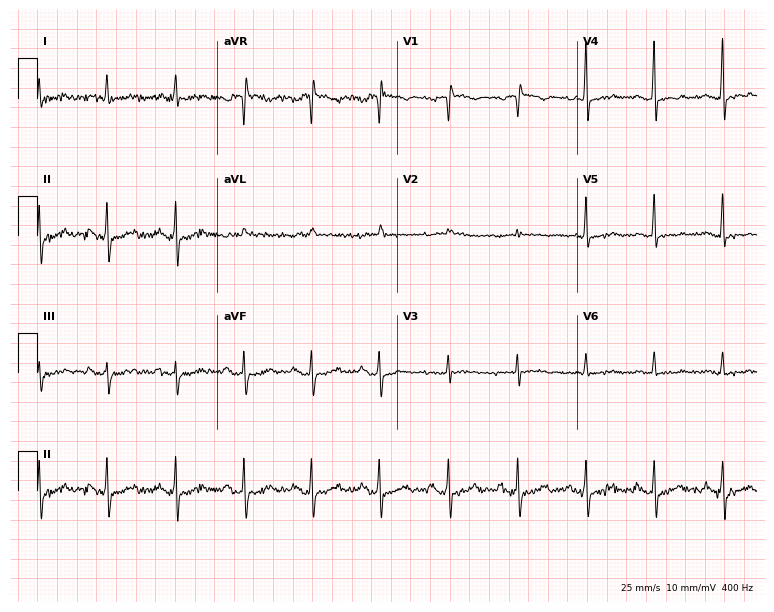
Standard 12-lead ECG recorded from a male patient, 80 years old (7.3-second recording at 400 Hz). None of these six findings is recorded: first-degree AV block, right bundle branch block (RBBB), left bundle branch block (LBBB), sinus bradycardia, atrial fibrillation (AF), sinus tachycardia. Only these six findings were labelled.